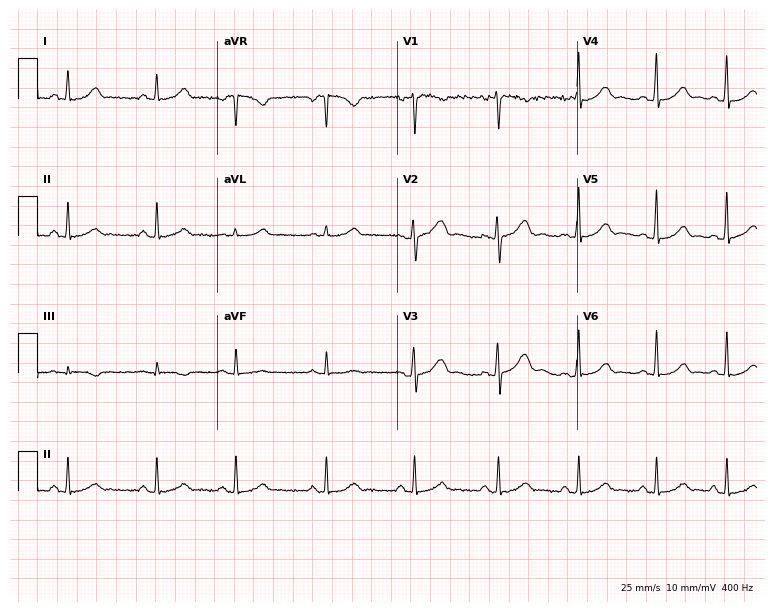
12-lead ECG from a 23-year-old female patient. Labelled as a normal ECG.